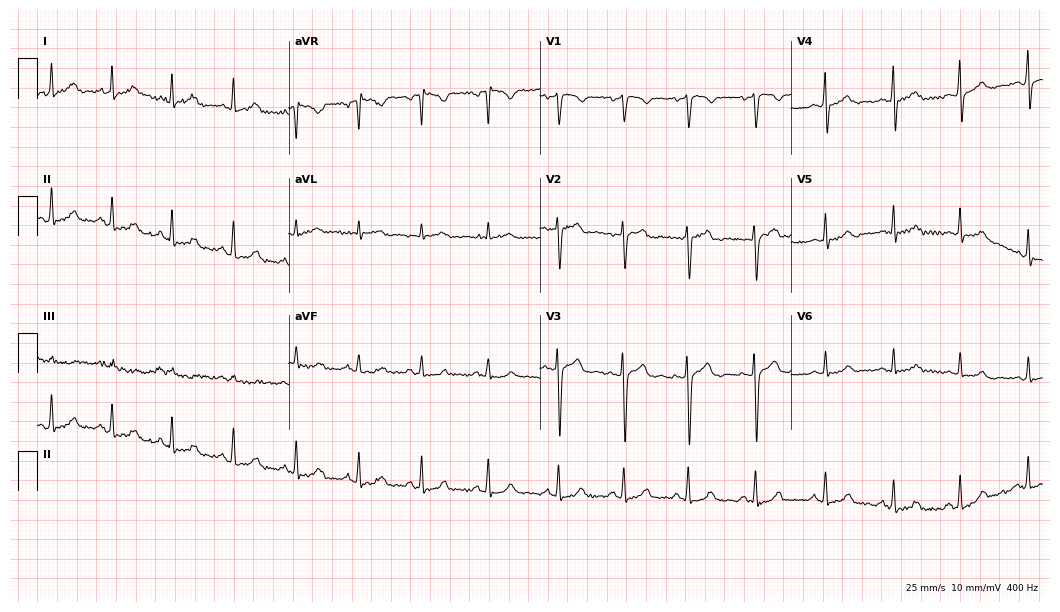
Electrocardiogram (10.2-second recording at 400 Hz), a 22-year-old woman. Overall reading on record: normal ECG.